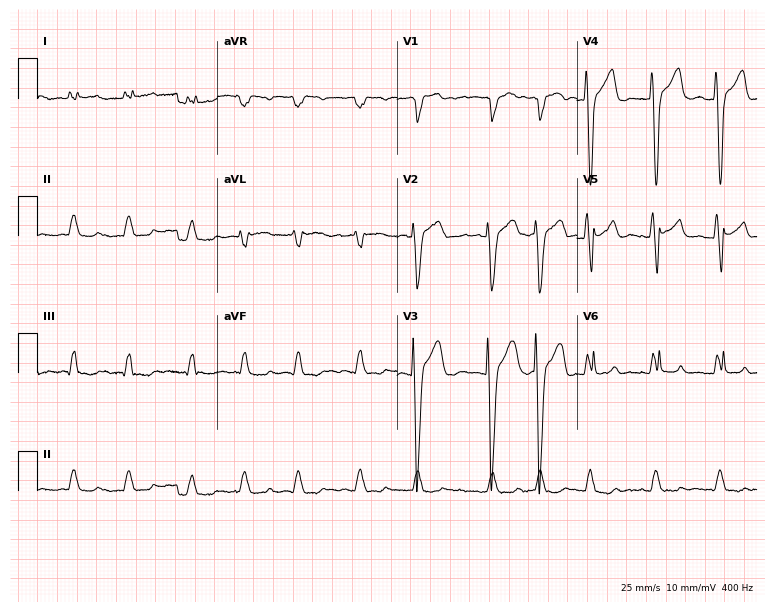
12-lead ECG from a 62-year-old female (7.3-second recording at 400 Hz). Shows atrial fibrillation (AF).